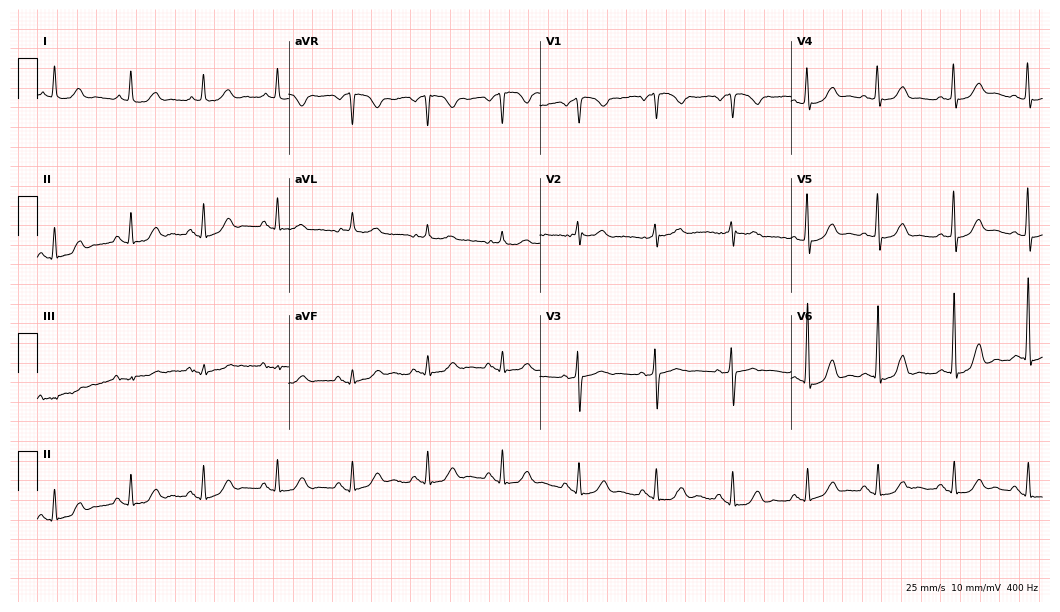
ECG (10.2-second recording at 400 Hz) — a female patient, 58 years old. Screened for six findings — first-degree AV block, right bundle branch block, left bundle branch block, sinus bradycardia, atrial fibrillation, sinus tachycardia — none is recorded.